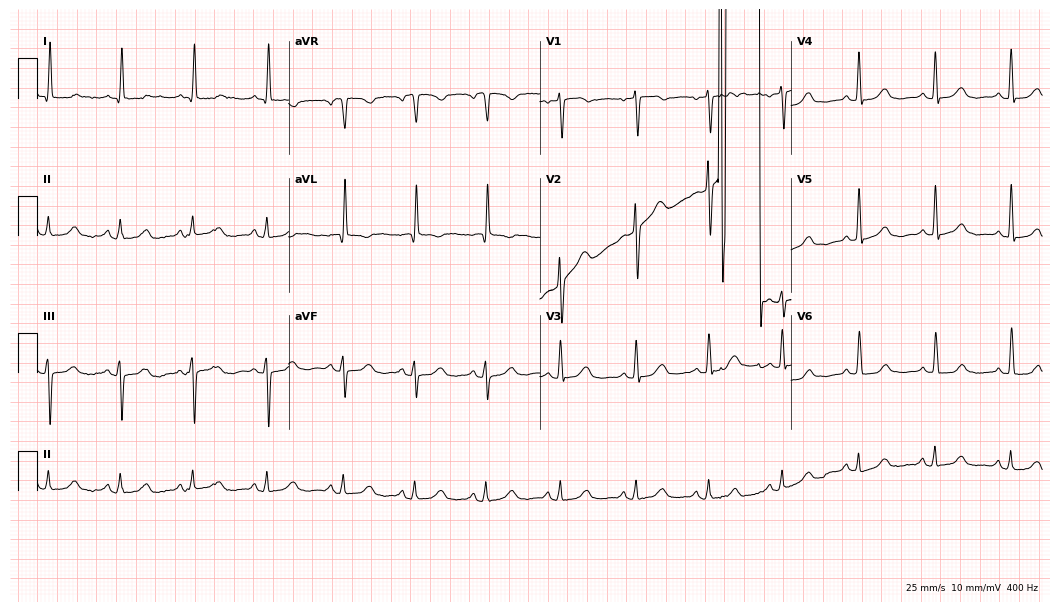
12-lead ECG (10.2-second recording at 400 Hz) from a 78-year-old female. Screened for six findings — first-degree AV block, right bundle branch block, left bundle branch block, sinus bradycardia, atrial fibrillation, sinus tachycardia — none is recorded. Findings outside these six are not listed.